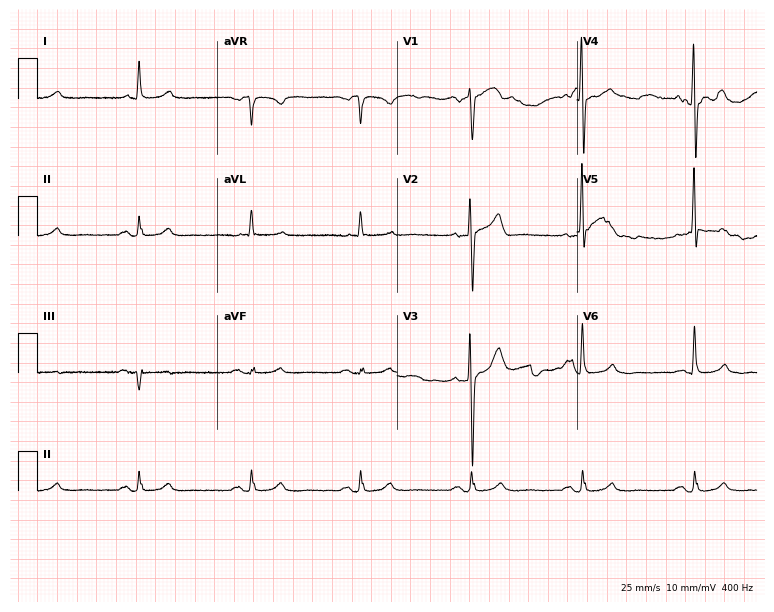
12-lead ECG from an 83-year-old male. Labelled as a normal ECG.